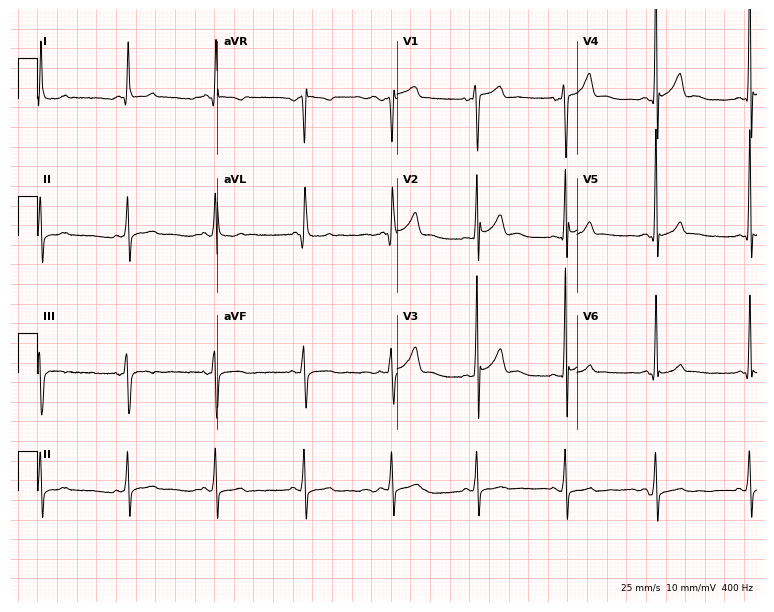
12-lead ECG from a 40-year-old man. No first-degree AV block, right bundle branch block, left bundle branch block, sinus bradycardia, atrial fibrillation or sinus tachycardia recorded for this tracing. Only these six findings were labelled.